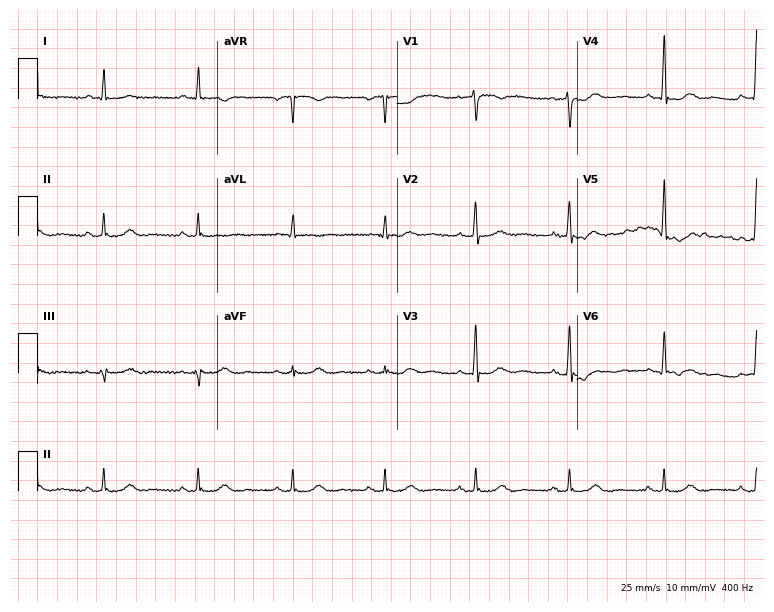
Resting 12-lead electrocardiogram. Patient: a 63-year-old woman. None of these six findings is recorded: first-degree AV block, right bundle branch block (RBBB), left bundle branch block (LBBB), sinus bradycardia, atrial fibrillation (AF), sinus tachycardia. Findings outside these six are not listed.